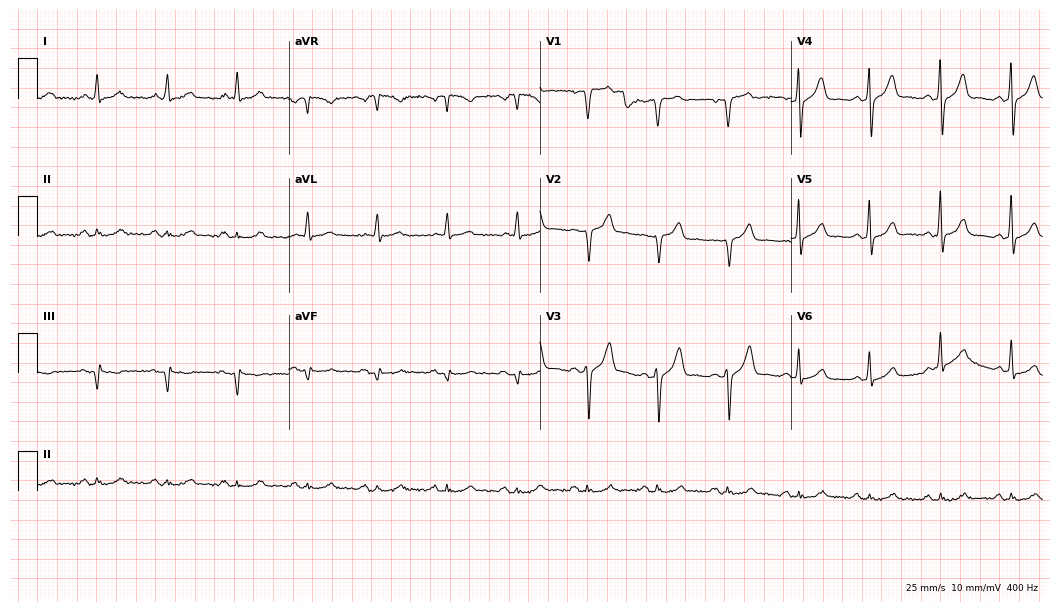
Standard 12-lead ECG recorded from a 60-year-old male patient (10.2-second recording at 400 Hz). None of these six findings is recorded: first-degree AV block, right bundle branch block, left bundle branch block, sinus bradycardia, atrial fibrillation, sinus tachycardia.